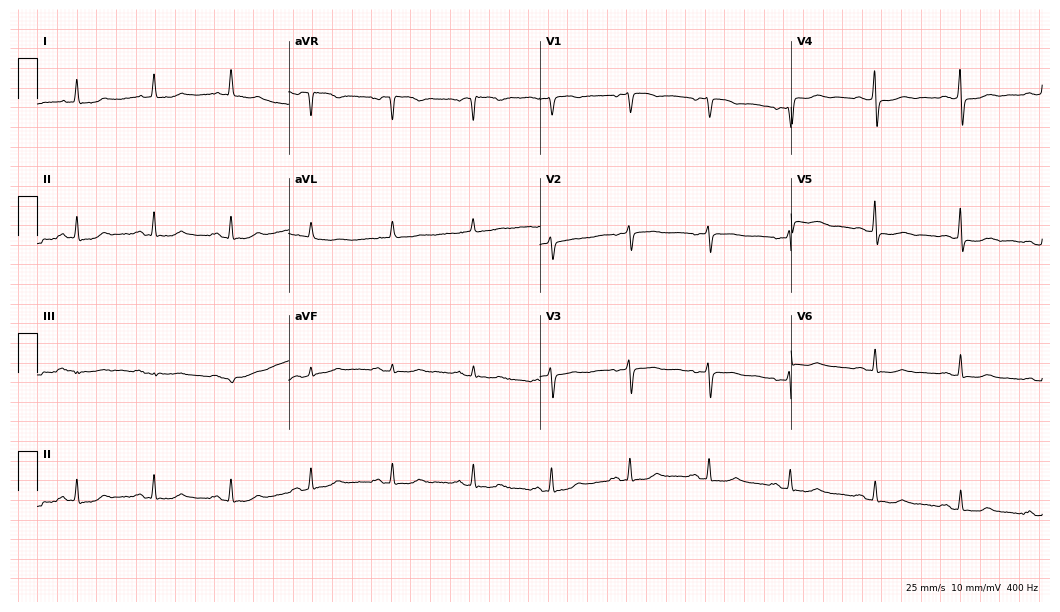
Electrocardiogram, a woman, 61 years old. Overall reading on record: normal ECG.